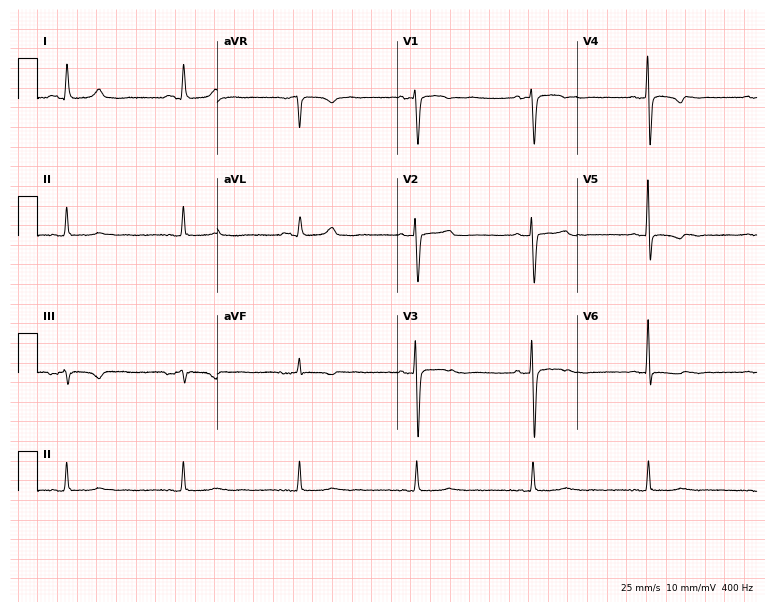
ECG (7.3-second recording at 400 Hz) — a 76-year-old woman. Screened for six findings — first-degree AV block, right bundle branch block, left bundle branch block, sinus bradycardia, atrial fibrillation, sinus tachycardia — none is recorded.